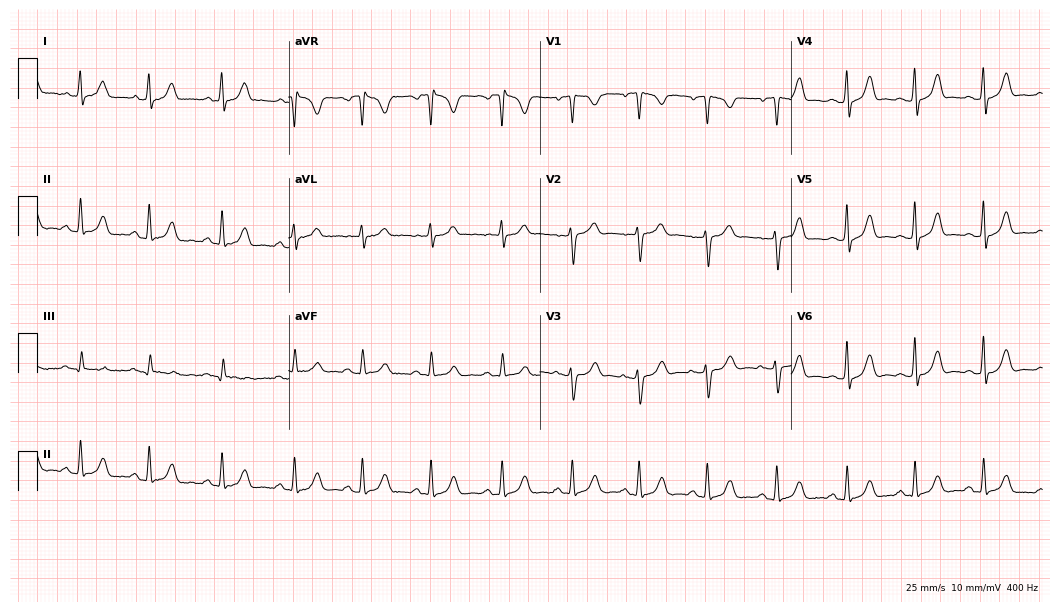
Electrocardiogram, a 24-year-old woman. Overall reading on record: normal ECG.